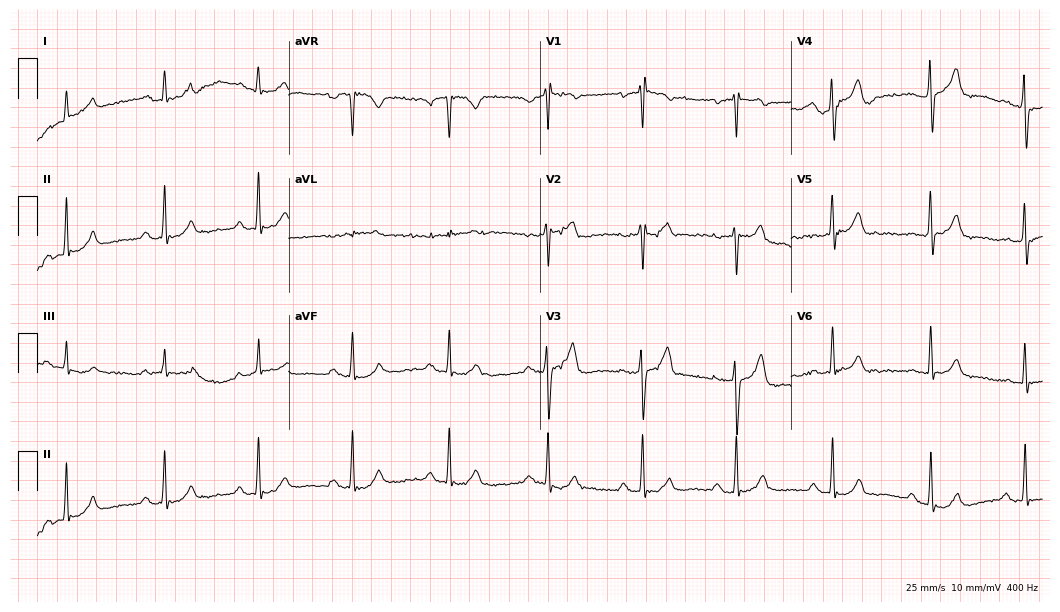
12-lead ECG from a 70-year-old male patient. Labelled as a normal ECG.